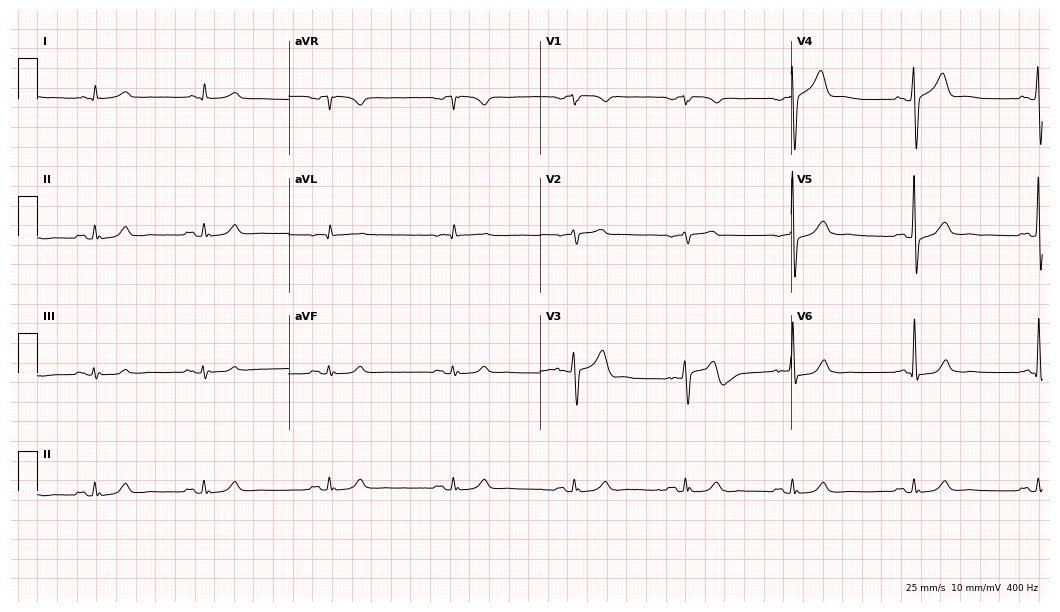
ECG (10.2-second recording at 400 Hz) — a 61-year-old man. Labelled as a normal ECG.